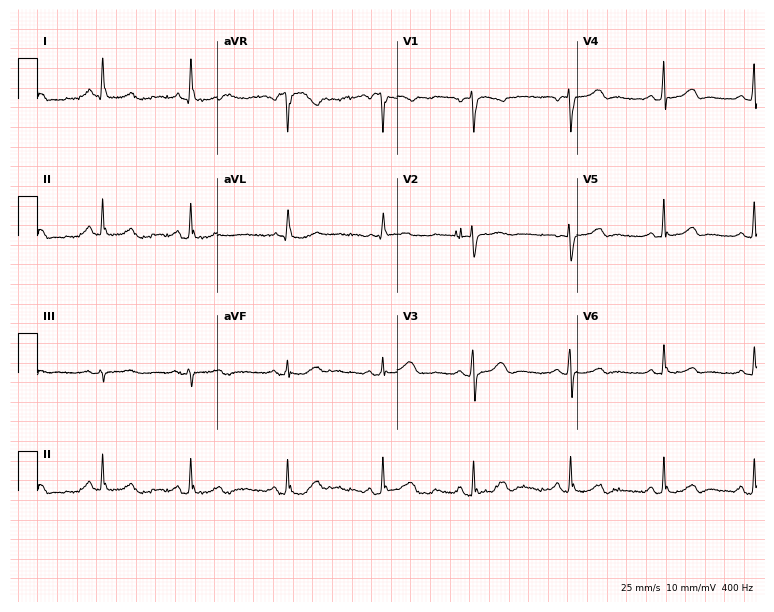
ECG (7.3-second recording at 400 Hz) — a 61-year-old female patient. Labelled as a normal ECG.